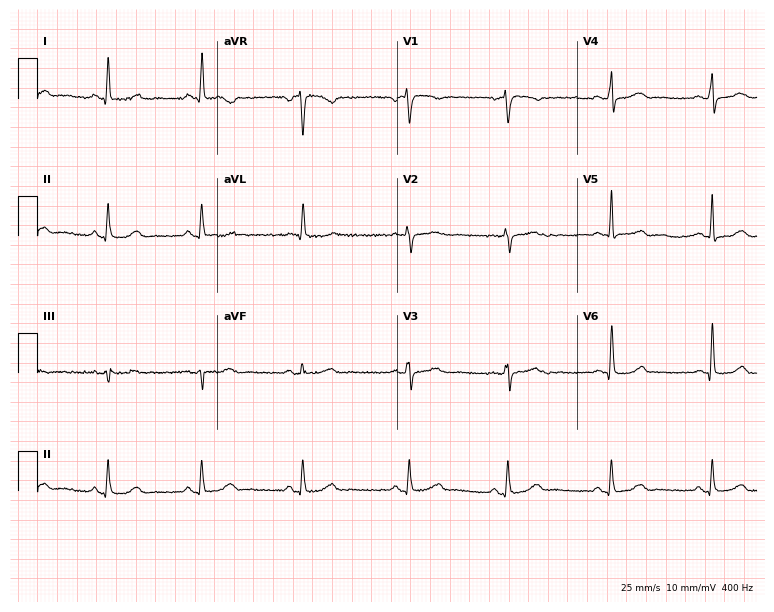
12-lead ECG from a 49-year-old female patient. Screened for six findings — first-degree AV block, right bundle branch block, left bundle branch block, sinus bradycardia, atrial fibrillation, sinus tachycardia — none is recorded. Findings outside these six are not listed.